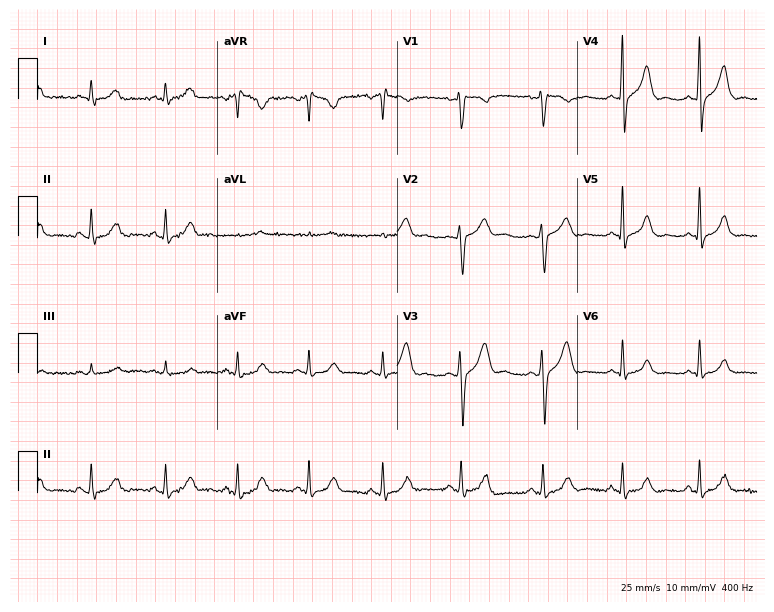
ECG — a 54-year-old male patient. Labelled as a normal ECG.